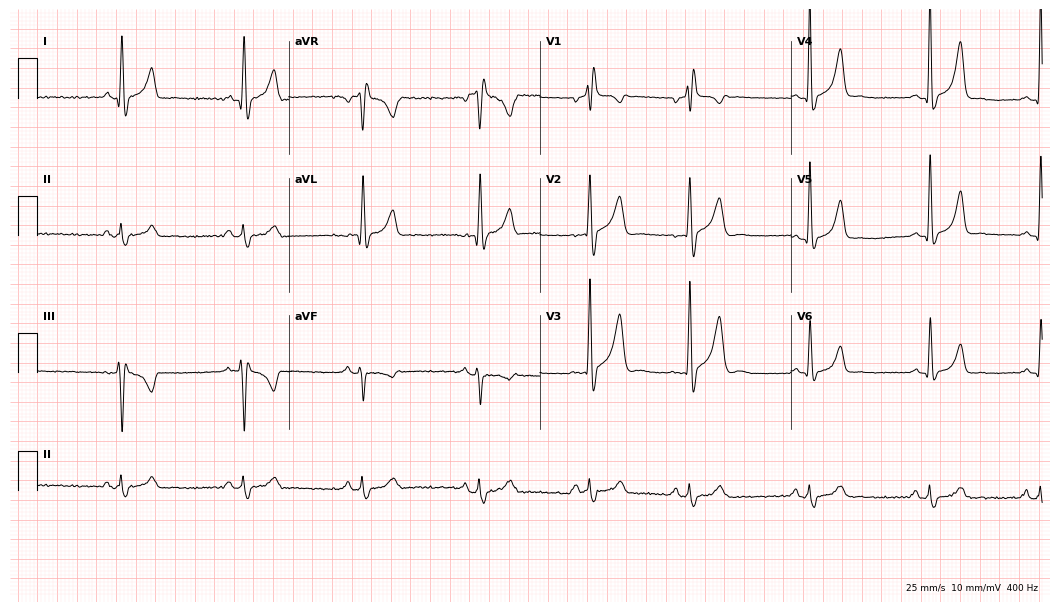
Standard 12-lead ECG recorded from a male, 43 years old. The tracing shows right bundle branch block (RBBB).